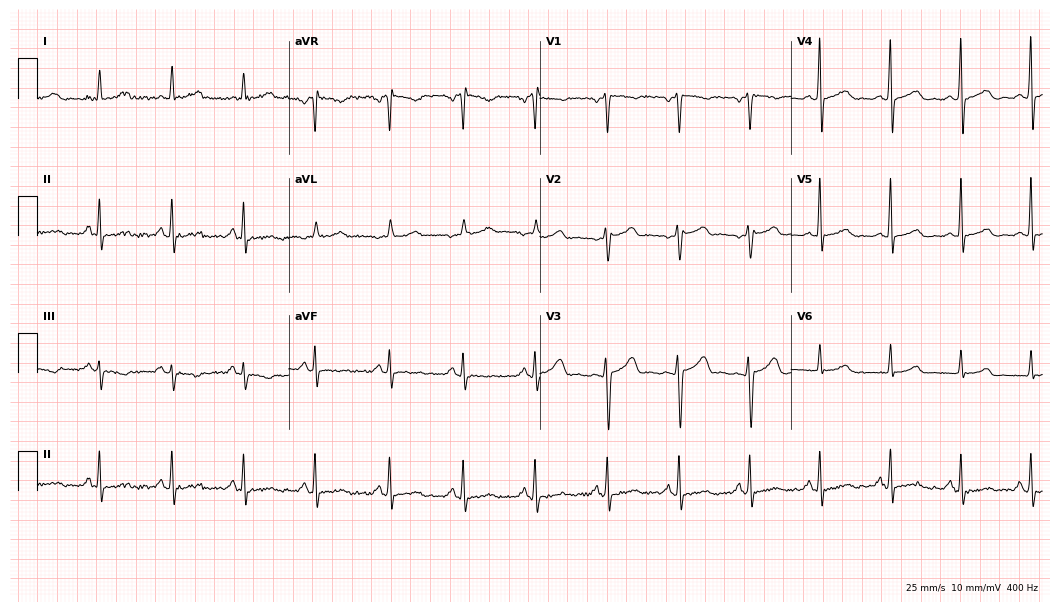
12-lead ECG (10.2-second recording at 400 Hz) from a 46-year-old female patient. Screened for six findings — first-degree AV block, right bundle branch block, left bundle branch block, sinus bradycardia, atrial fibrillation, sinus tachycardia — none is recorded.